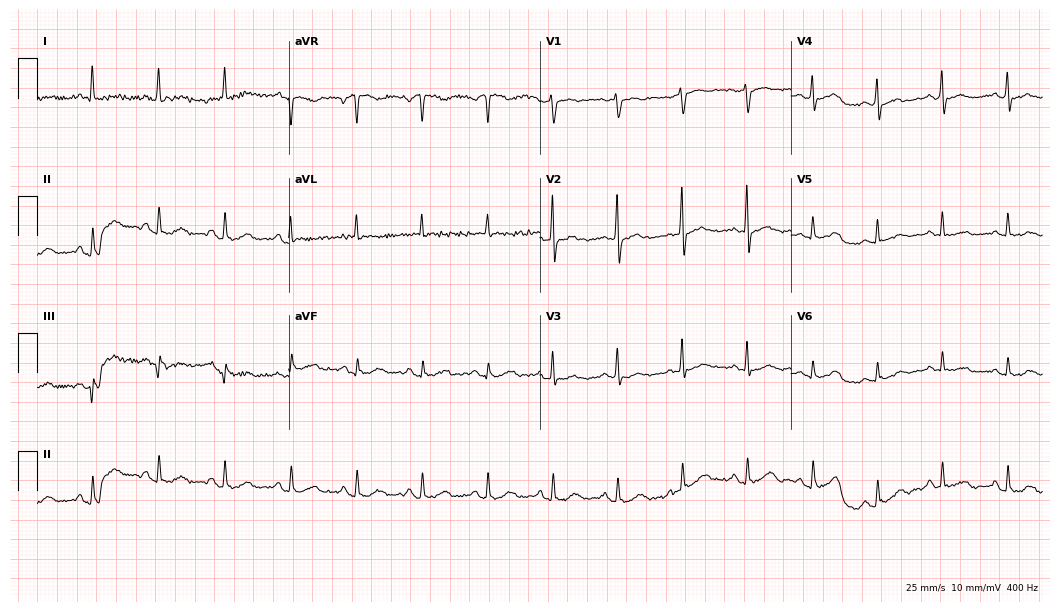
Resting 12-lead electrocardiogram. Patient: a woman, 77 years old. None of these six findings is recorded: first-degree AV block, right bundle branch block, left bundle branch block, sinus bradycardia, atrial fibrillation, sinus tachycardia. Findings outside these six are not listed.